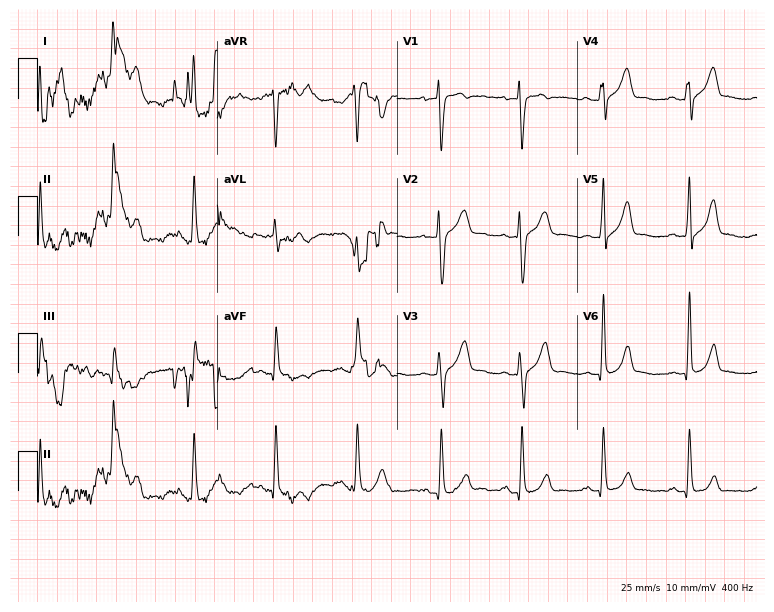
12-lead ECG from a 28-year-old male patient. Screened for six findings — first-degree AV block, right bundle branch block, left bundle branch block, sinus bradycardia, atrial fibrillation, sinus tachycardia — none is recorded.